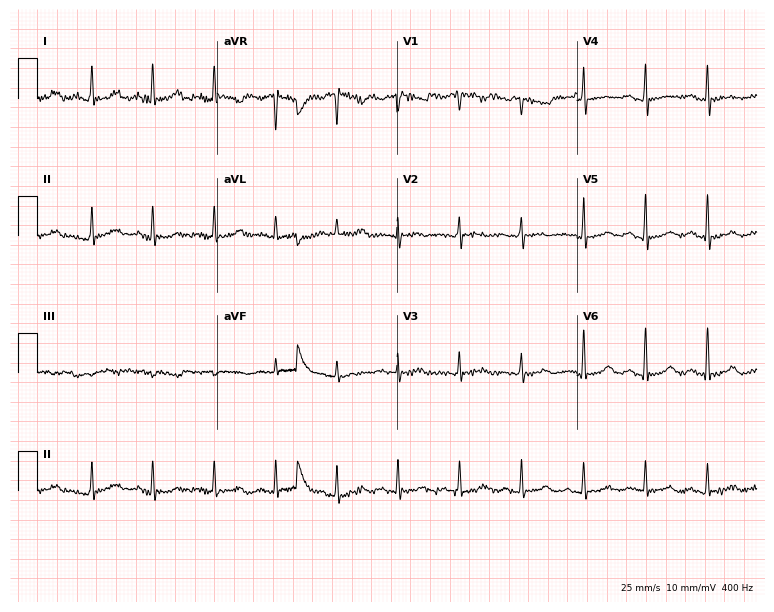
ECG — a 68-year-old female patient. Screened for six findings — first-degree AV block, right bundle branch block, left bundle branch block, sinus bradycardia, atrial fibrillation, sinus tachycardia — none is recorded.